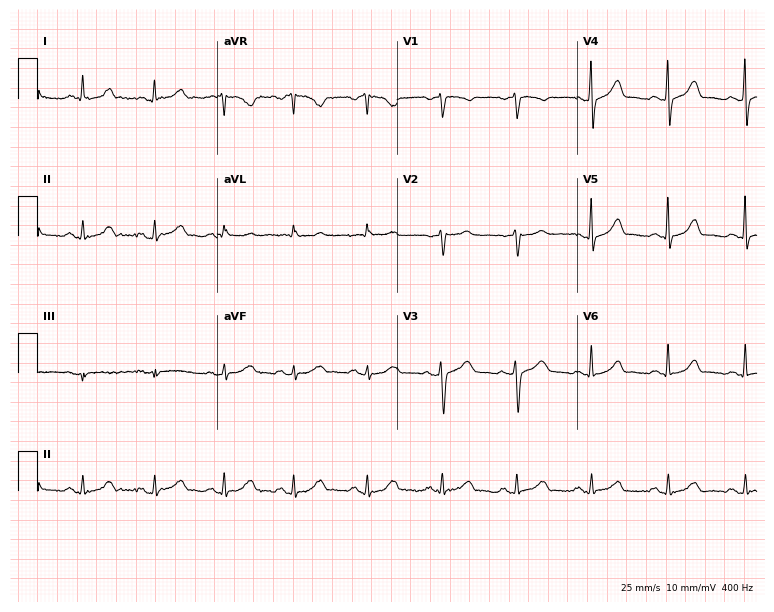
Resting 12-lead electrocardiogram. Patient: a 40-year-old woman. Read as a normal ECG.